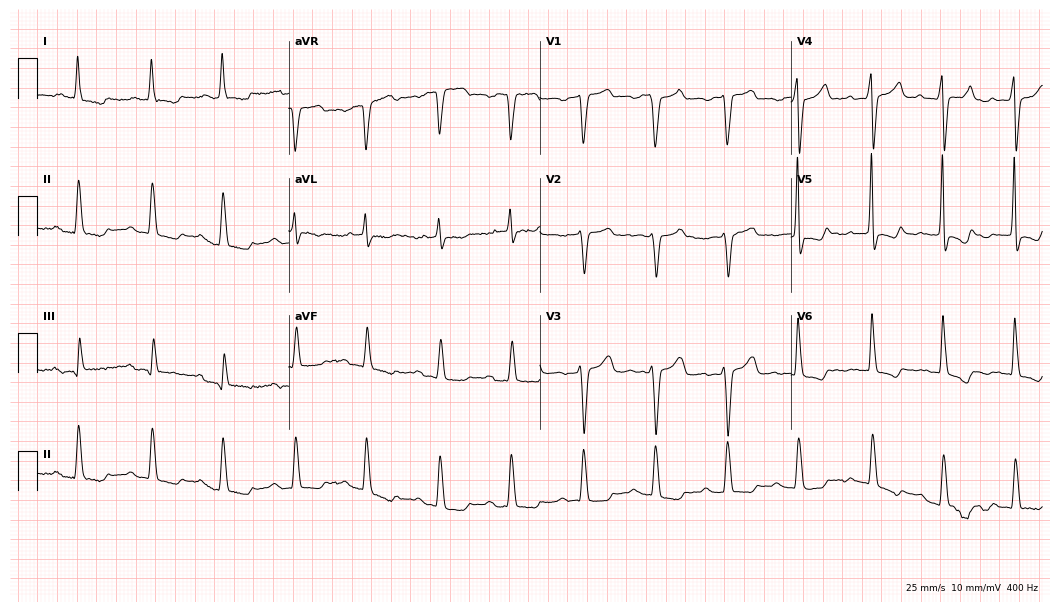
12-lead ECG from a 66-year-old woman. Screened for six findings — first-degree AV block, right bundle branch block, left bundle branch block, sinus bradycardia, atrial fibrillation, sinus tachycardia — none is recorded. Other findings, if any, are not listed.